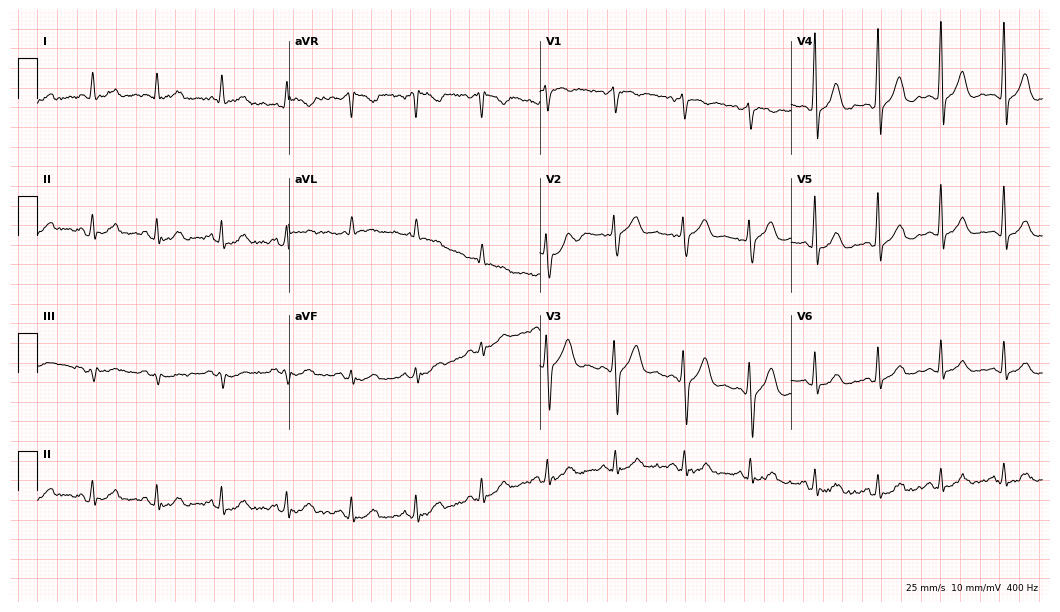
ECG — a male patient, 57 years old. Labelled as a normal ECG.